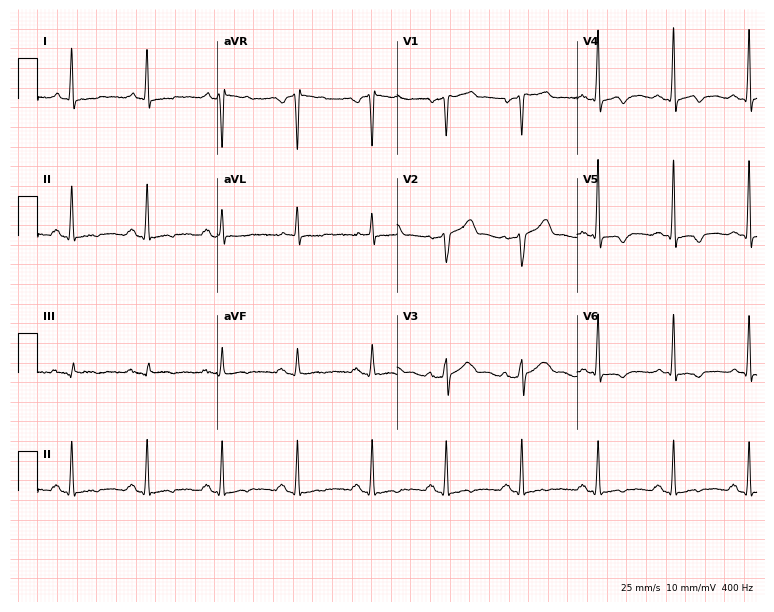
ECG (7.3-second recording at 400 Hz) — a 62-year-old male patient. Screened for six findings — first-degree AV block, right bundle branch block, left bundle branch block, sinus bradycardia, atrial fibrillation, sinus tachycardia — none is recorded.